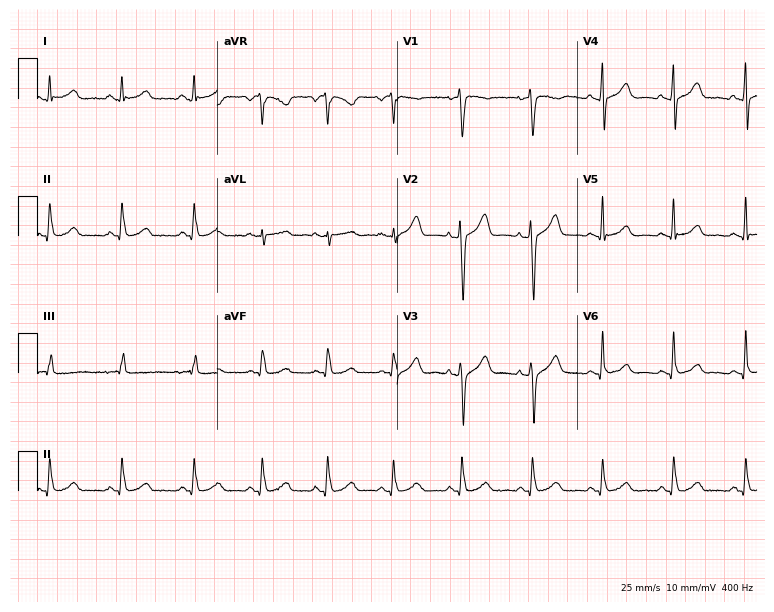
Standard 12-lead ECG recorded from a 33-year-old male (7.3-second recording at 400 Hz). Read as a normal ECG.